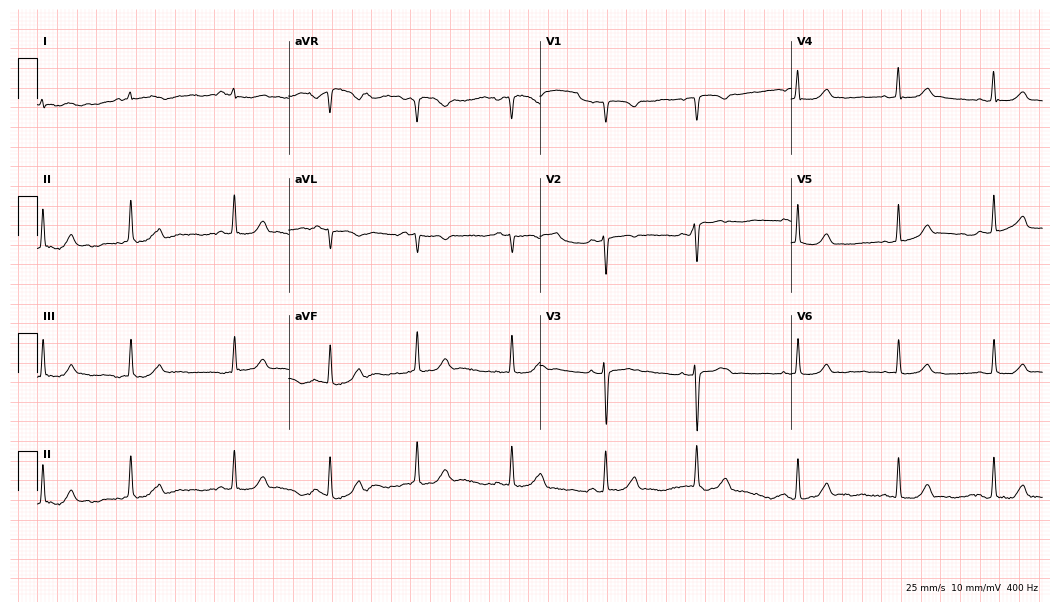
Electrocardiogram (10.2-second recording at 400 Hz), a 20-year-old female. Of the six screened findings (first-degree AV block, right bundle branch block (RBBB), left bundle branch block (LBBB), sinus bradycardia, atrial fibrillation (AF), sinus tachycardia), none is recorded. Only these six findings were labelled.